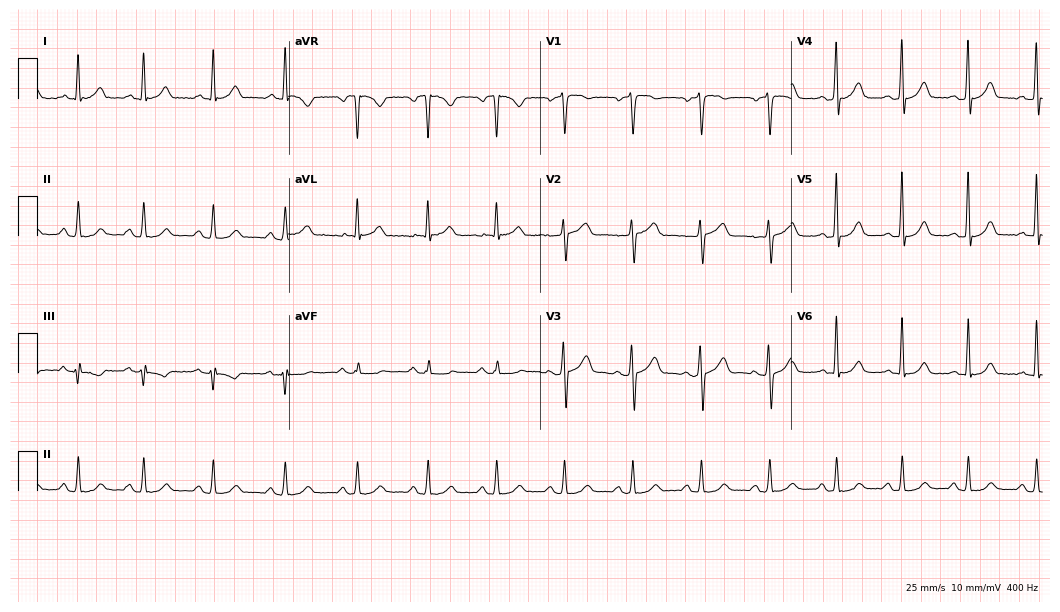
Electrocardiogram (10.2-second recording at 400 Hz), a male patient, 49 years old. Overall reading on record: normal ECG.